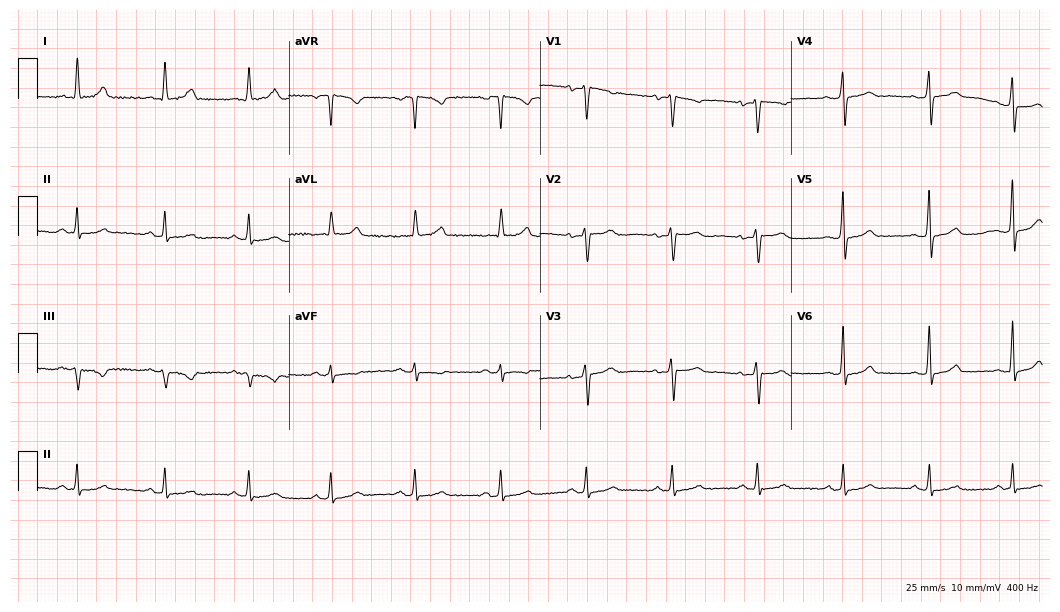
Standard 12-lead ECG recorded from a 43-year-old female. Read as a normal ECG.